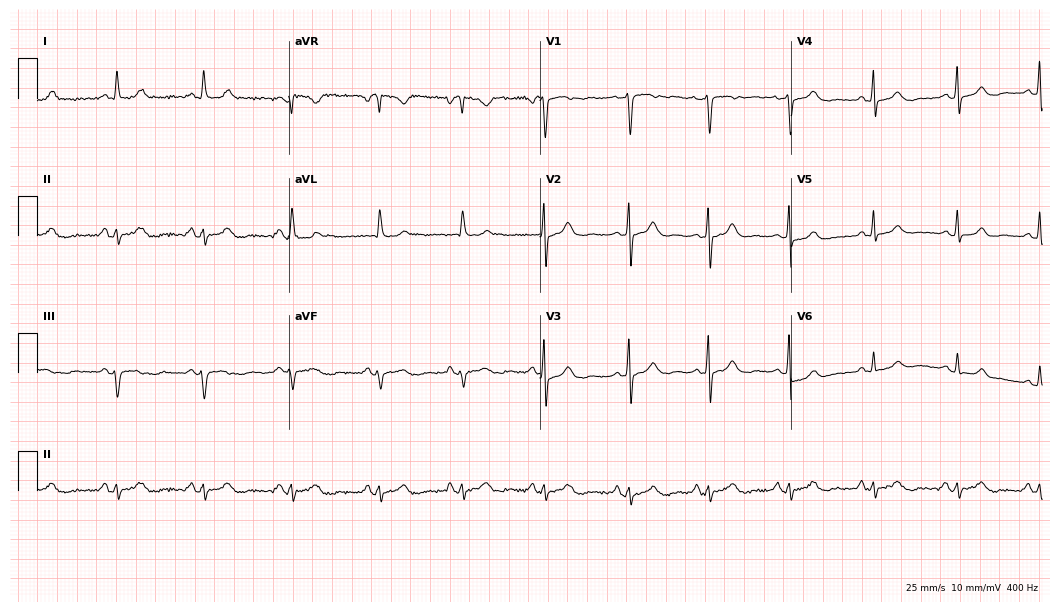
Standard 12-lead ECG recorded from a 51-year-old woman. None of these six findings is recorded: first-degree AV block, right bundle branch block (RBBB), left bundle branch block (LBBB), sinus bradycardia, atrial fibrillation (AF), sinus tachycardia. Findings outside these six are not listed.